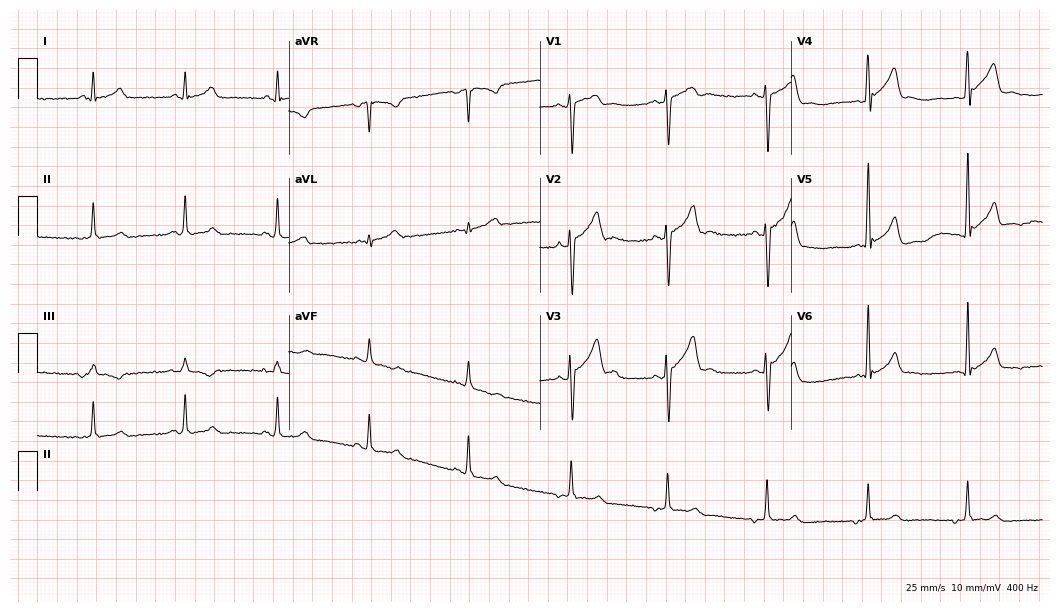
12-lead ECG from a male patient, 18 years old (10.2-second recording at 400 Hz). Recorded interpretation: within normal limits.